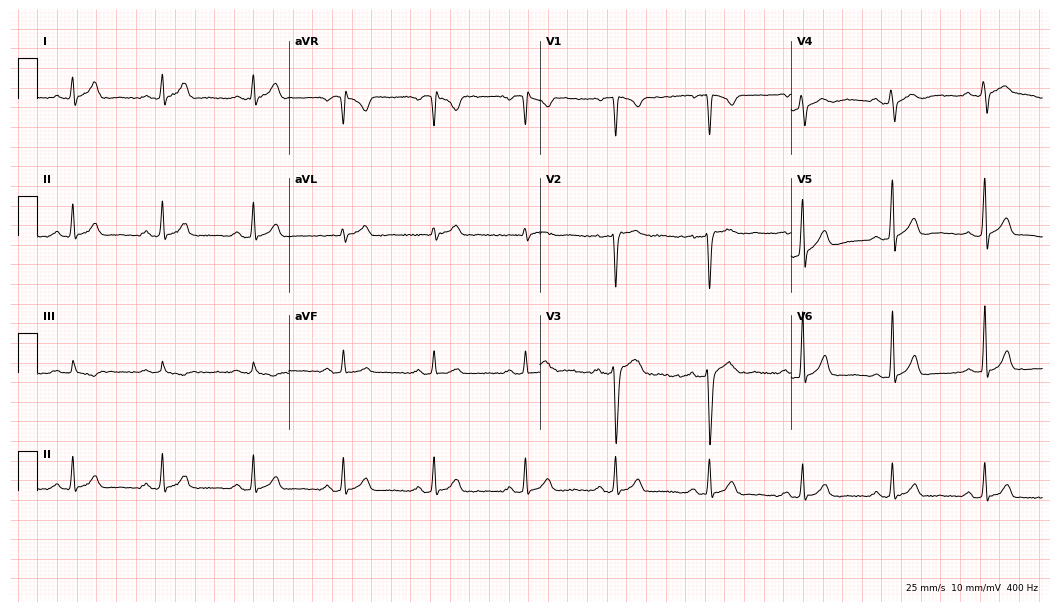
12-lead ECG from a male patient, 24 years old (10.2-second recording at 400 Hz). Recorded interpretation: within normal limits.